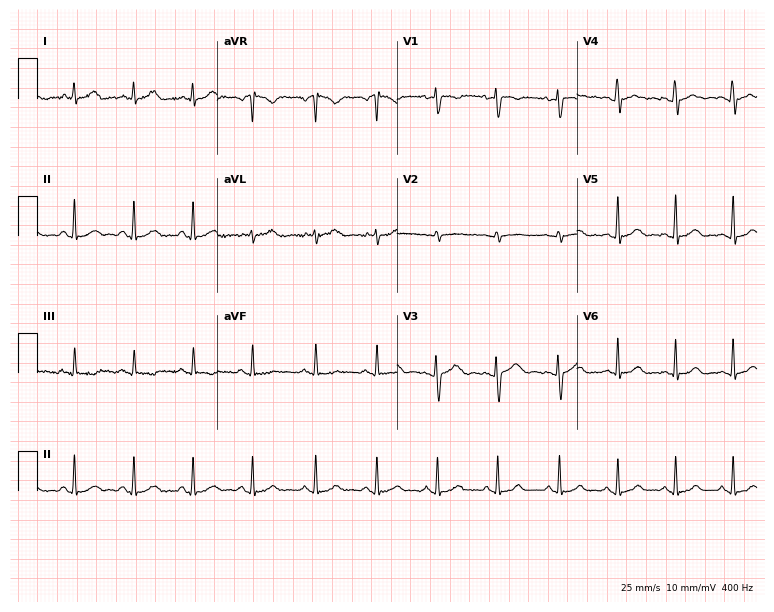
Electrocardiogram, a woman, 17 years old. Overall reading on record: normal ECG.